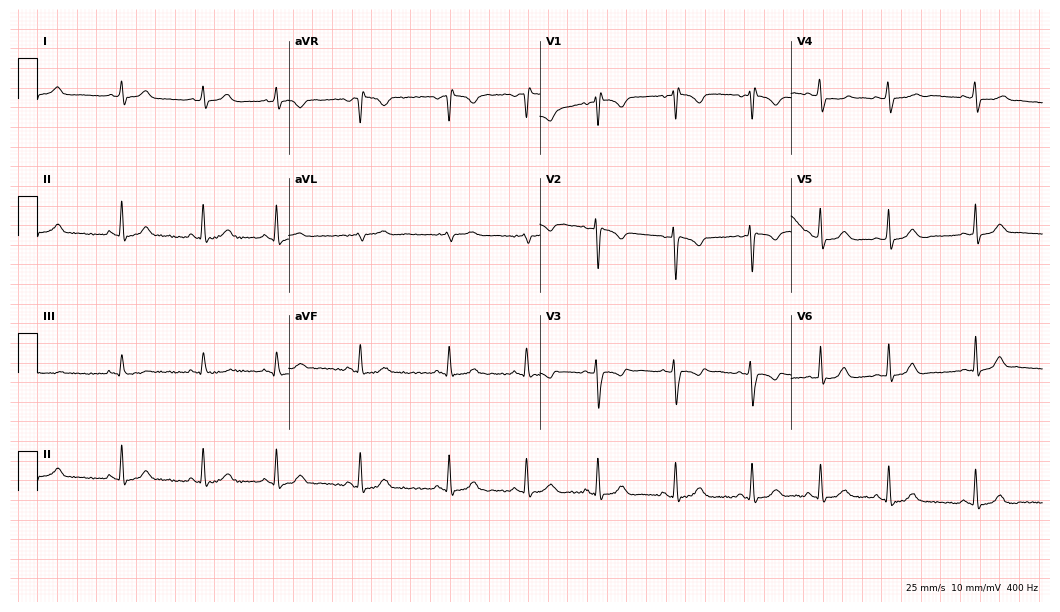
ECG — a 22-year-old female patient. Screened for six findings — first-degree AV block, right bundle branch block, left bundle branch block, sinus bradycardia, atrial fibrillation, sinus tachycardia — none is recorded. Only these six findings were labelled.